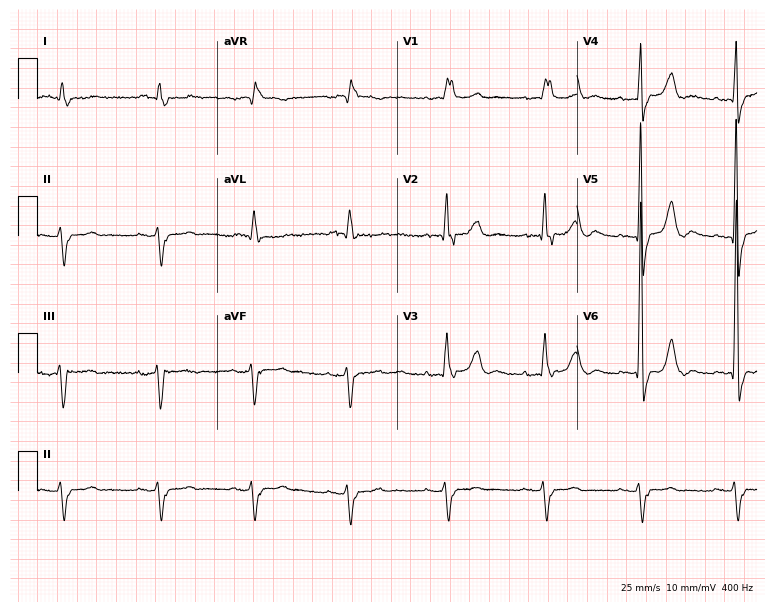
Resting 12-lead electrocardiogram (7.3-second recording at 400 Hz). Patient: a man, 68 years old. The tracing shows right bundle branch block.